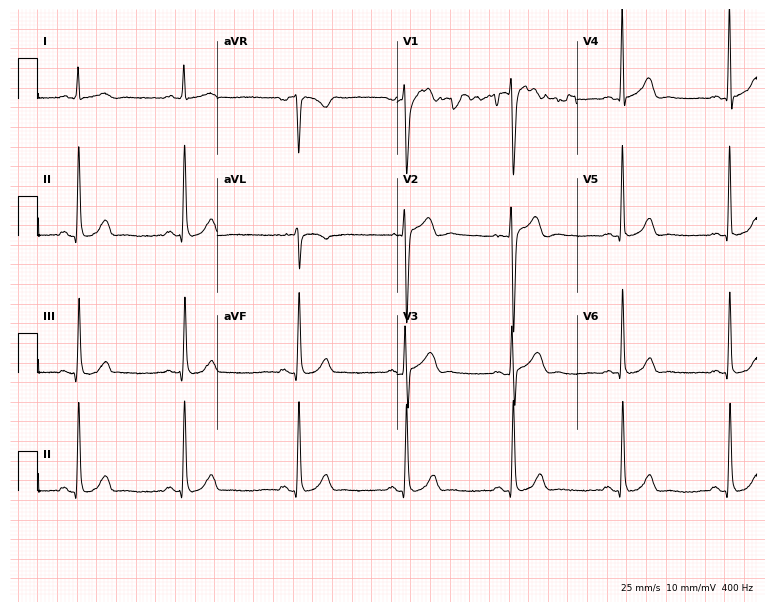
12-lead ECG from a 33-year-old man (7.3-second recording at 400 Hz). Recorded interpretation: within normal limits.